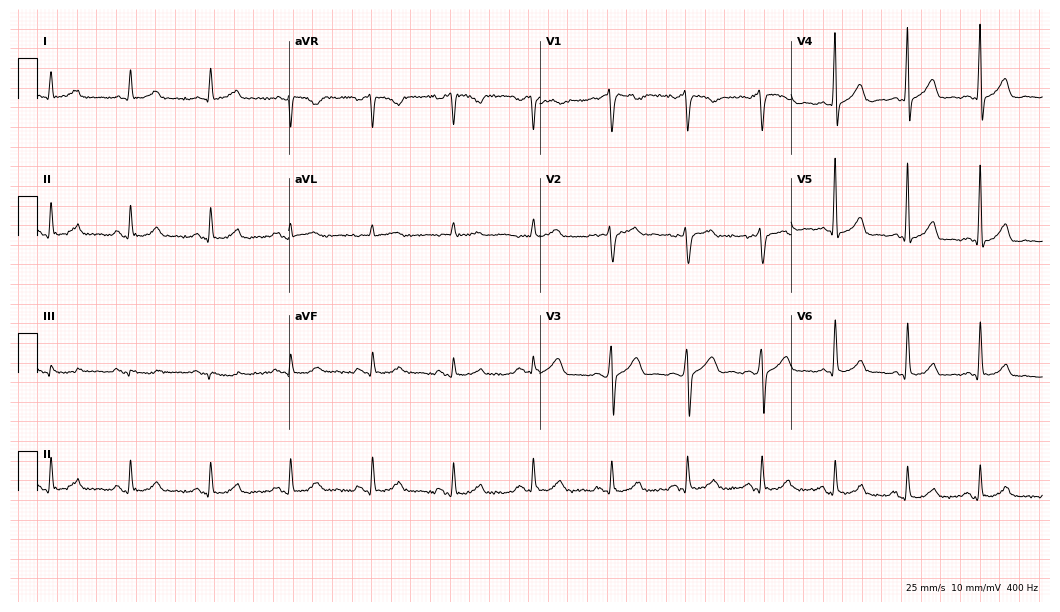
Standard 12-lead ECG recorded from a 46-year-old male patient (10.2-second recording at 400 Hz). Read as a normal ECG.